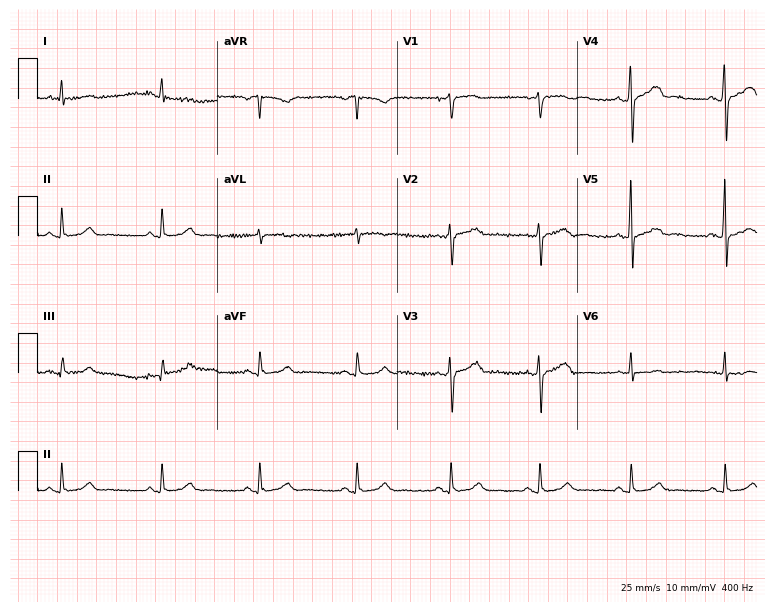
12-lead ECG from a male patient, 63 years old. No first-degree AV block, right bundle branch block (RBBB), left bundle branch block (LBBB), sinus bradycardia, atrial fibrillation (AF) or sinus tachycardia recorded for this tracing. Findings outside these six are not listed.